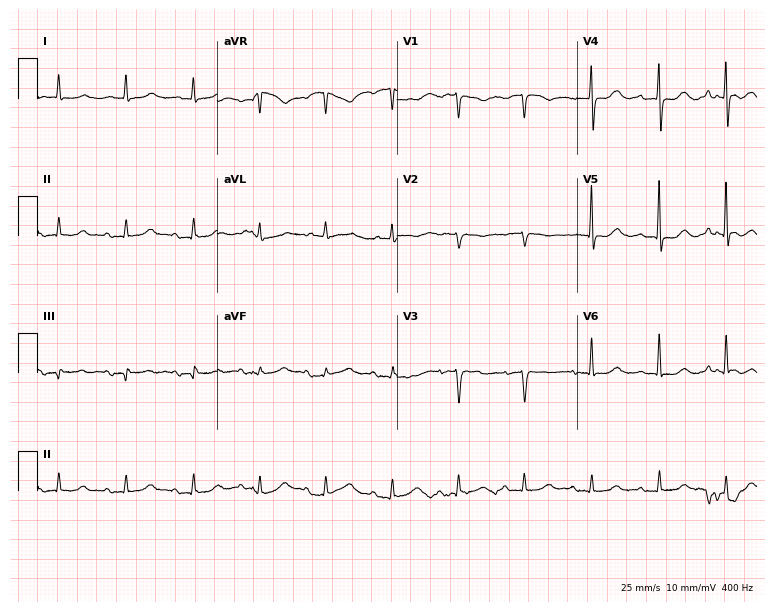
Resting 12-lead electrocardiogram (7.3-second recording at 400 Hz). Patient: a female, 83 years old. None of these six findings is recorded: first-degree AV block, right bundle branch block, left bundle branch block, sinus bradycardia, atrial fibrillation, sinus tachycardia.